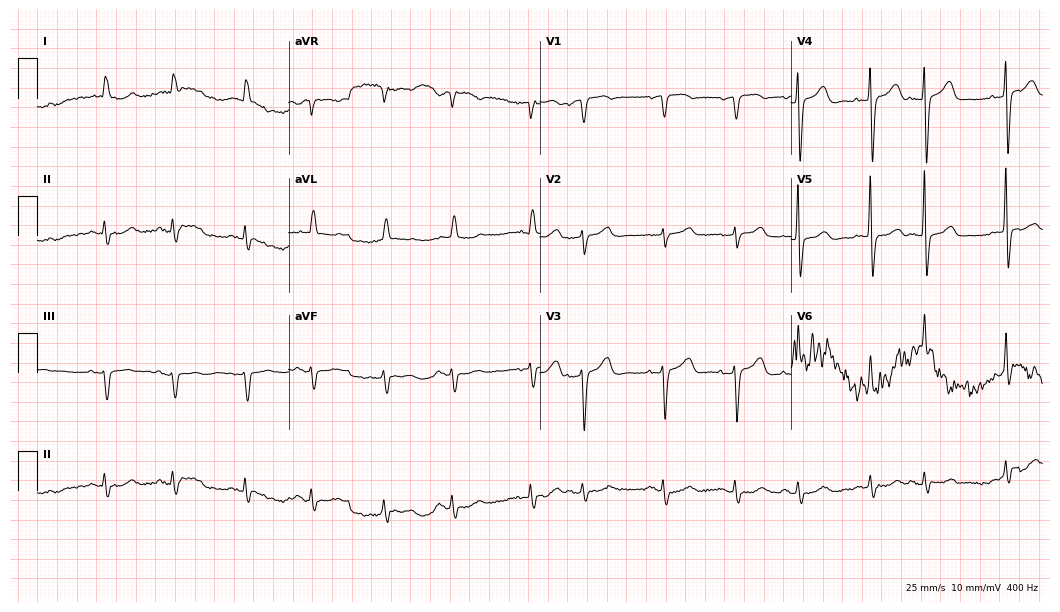
Electrocardiogram, a female patient, 77 years old. Of the six screened findings (first-degree AV block, right bundle branch block (RBBB), left bundle branch block (LBBB), sinus bradycardia, atrial fibrillation (AF), sinus tachycardia), none is recorded. Findings outside these six are not listed.